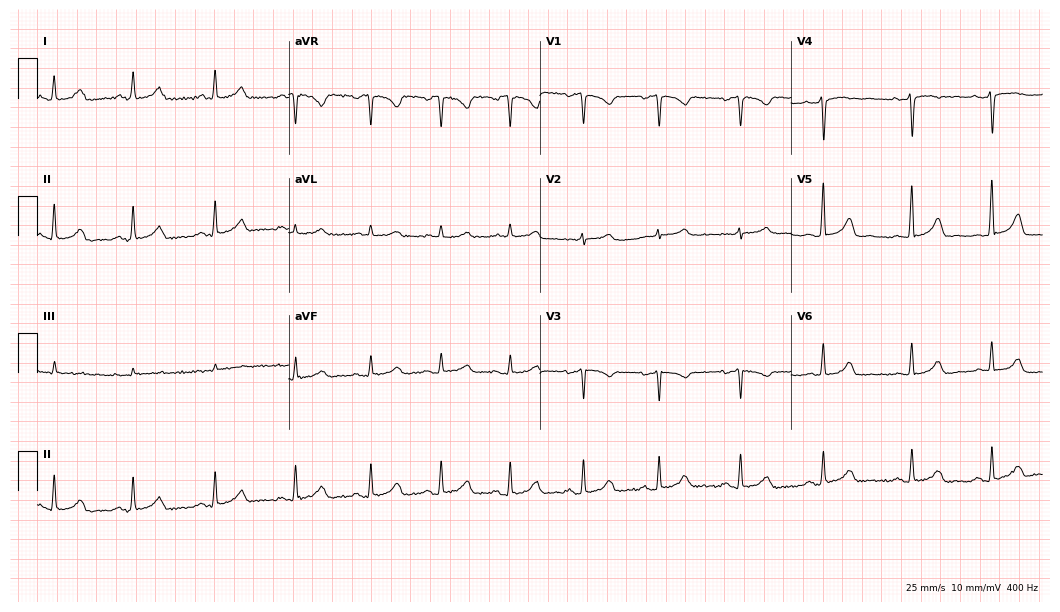
Standard 12-lead ECG recorded from a 33-year-old female patient. Read as a normal ECG.